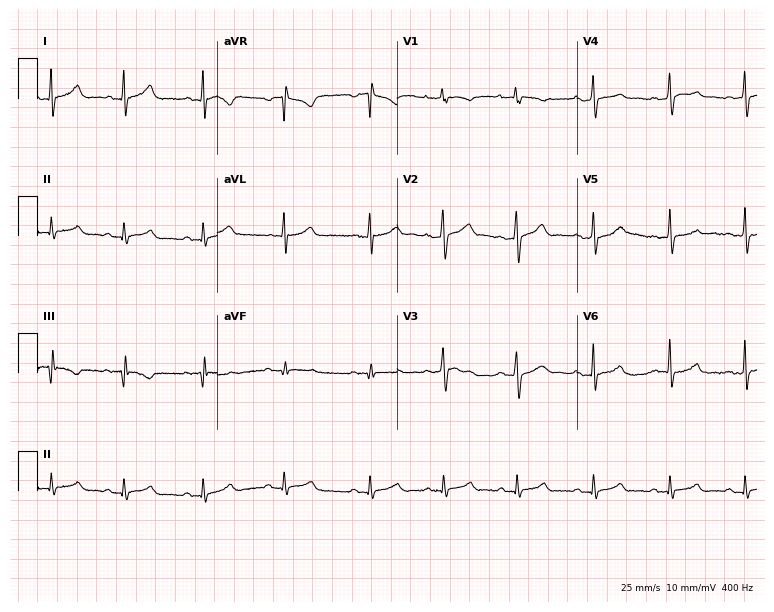
12-lead ECG from a 20-year-old male patient. Labelled as a normal ECG.